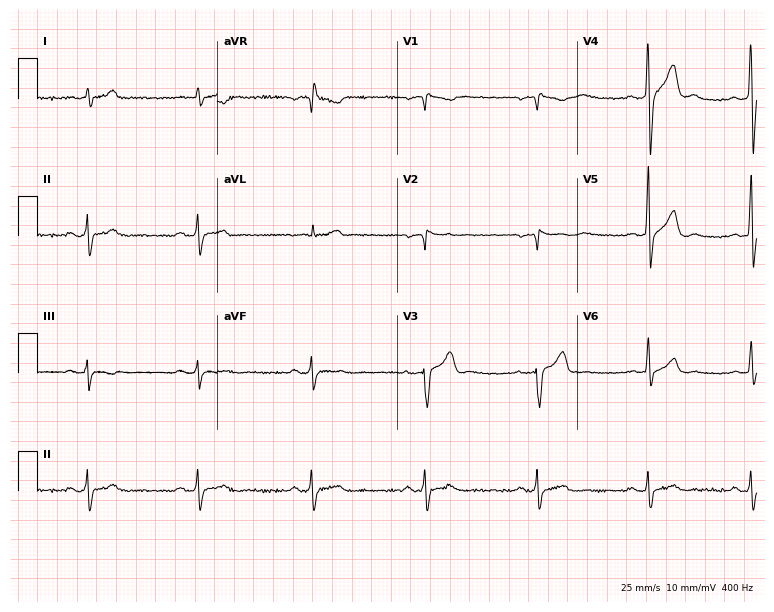
Resting 12-lead electrocardiogram (7.3-second recording at 400 Hz). Patient: a man, 40 years old. None of these six findings is recorded: first-degree AV block, right bundle branch block, left bundle branch block, sinus bradycardia, atrial fibrillation, sinus tachycardia.